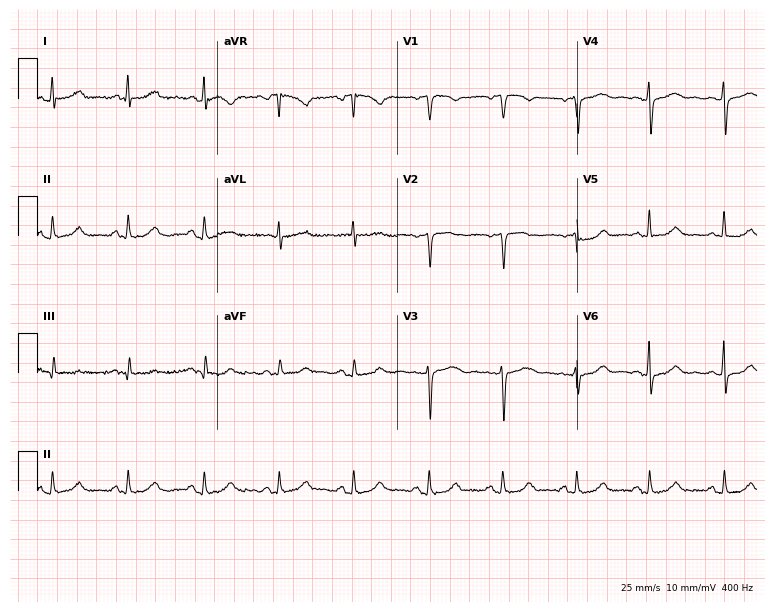
Resting 12-lead electrocardiogram (7.3-second recording at 400 Hz). Patient: a female, 55 years old. Read as a normal ECG.